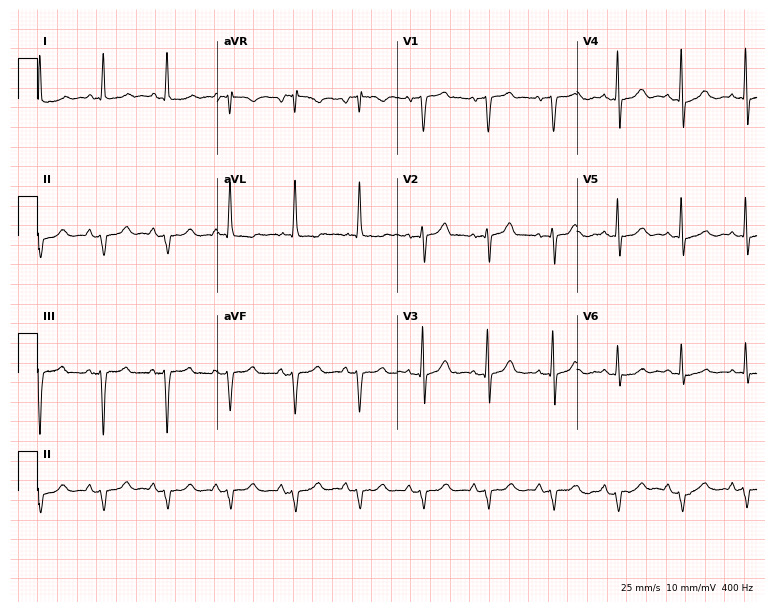
Electrocardiogram (7.3-second recording at 400 Hz), a 79-year-old male patient. Of the six screened findings (first-degree AV block, right bundle branch block (RBBB), left bundle branch block (LBBB), sinus bradycardia, atrial fibrillation (AF), sinus tachycardia), none is recorded. Findings outside these six are not listed.